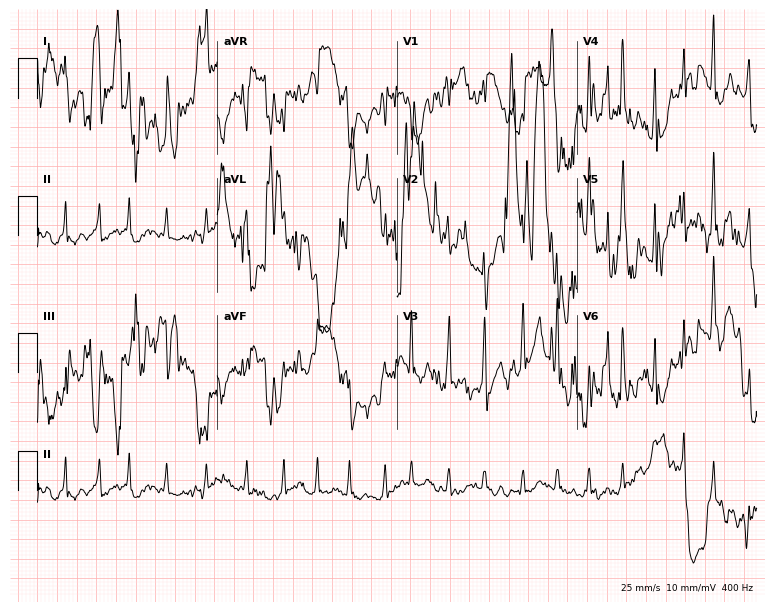
12-lead ECG from a 49-year-old man. Screened for six findings — first-degree AV block, right bundle branch block, left bundle branch block, sinus bradycardia, atrial fibrillation, sinus tachycardia — none is recorded.